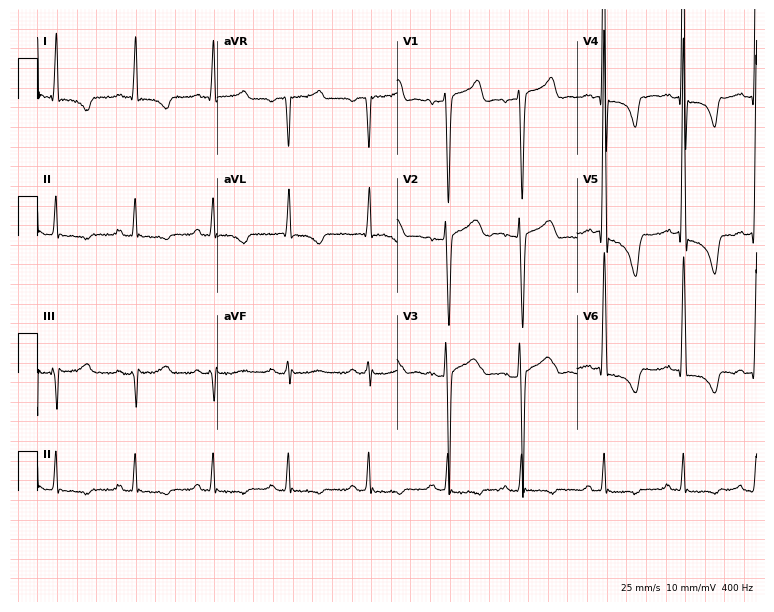
Electrocardiogram (7.3-second recording at 400 Hz), a male, 75 years old. Of the six screened findings (first-degree AV block, right bundle branch block, left bundle branch block, sinus bradycardia, atrial fibrillation, sinus tachycardia), none is recorded.